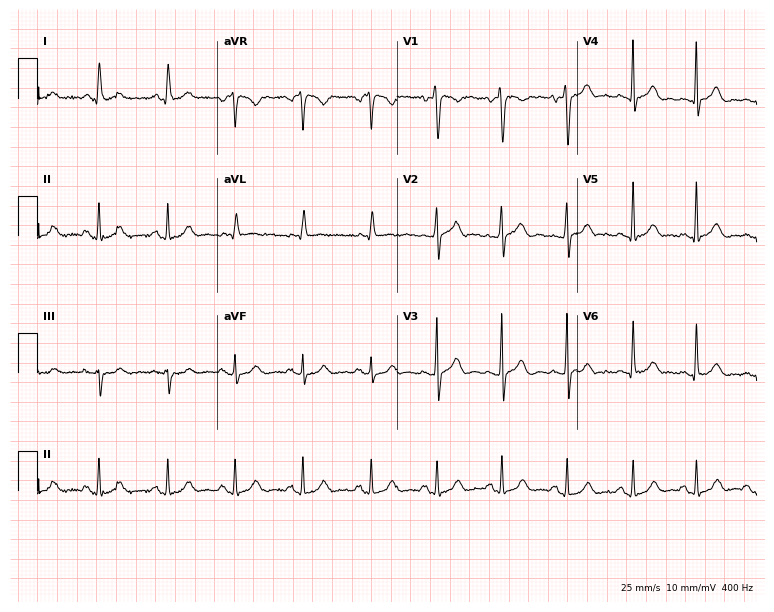
12-lead ECG from a male, 27 years old. Recorded interpretation: within normal limits.